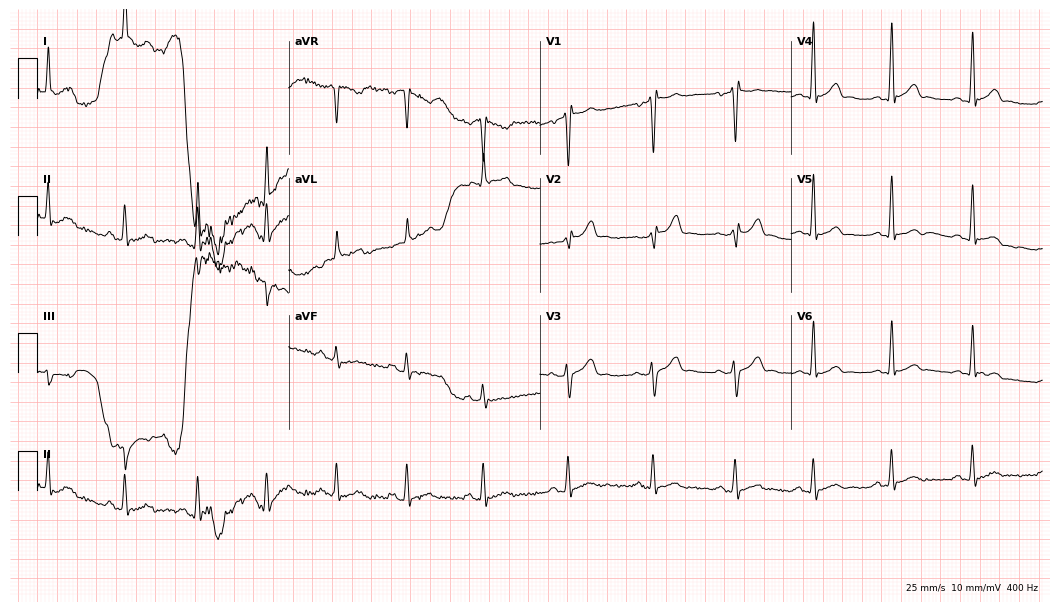
ECG — a 23-year-old male patient. Screened for six findings — first-degree AV block, right bundle branch block, left bundle branch block, sinus bradycardia, atrial fibrillation, sinus tachycardia — none is recorded. Only these six findings were labelled.